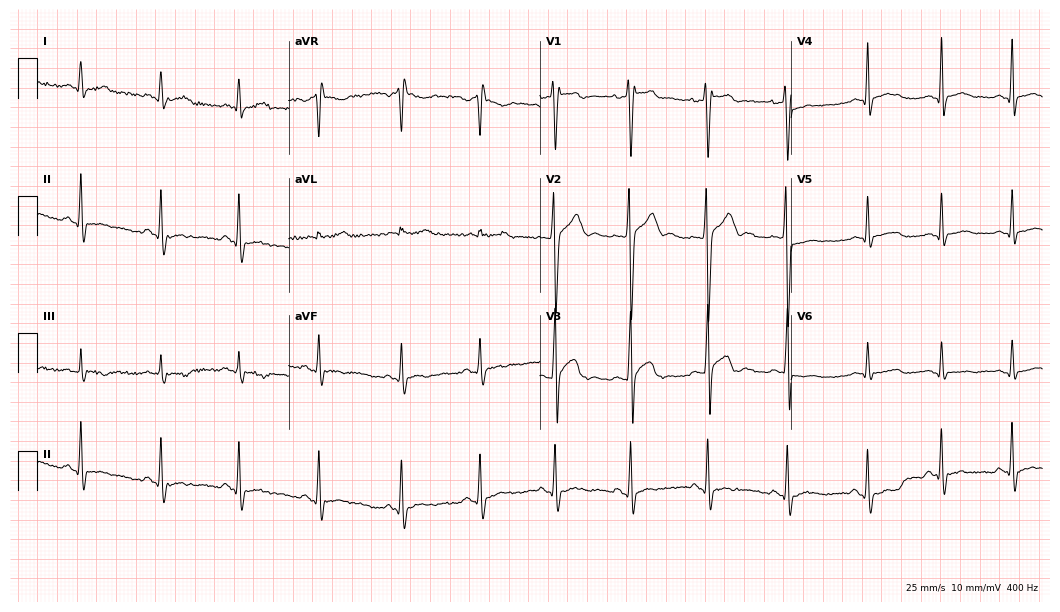
Standard 12-lead ECG recorded from a male, 18 years old (10.2-second recording at 400 Hz). None of these six findings is recorded: first-degree AV block, right bundle branch block, left bundle branch block, sinus bradycardia, atrial fibrillation, sinus tachycardia.